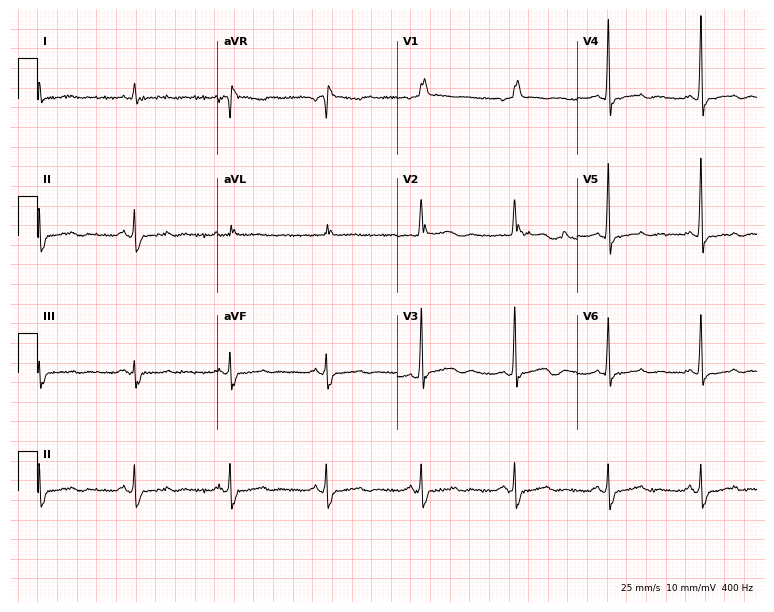
Electrocardiogram, a male patient, 85 years old. Of the six screened findings (first-degree AV block, right bundle branch block, left bundle branch block, sinus bradycardia, atrial fibrillation, sinus tachycardia), none is recorded. Findings outside these six are not listed.